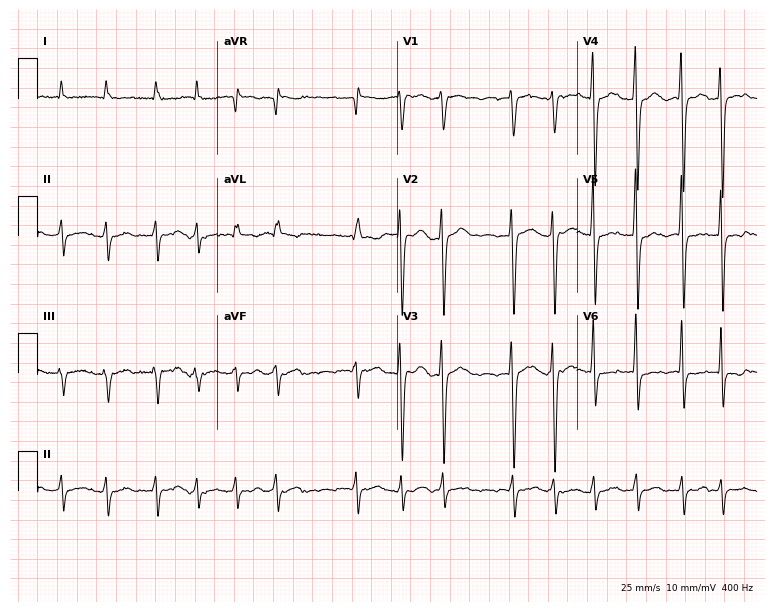
12-lead ECG from a 60-year-old man (7.3-second recording at 400 Hz). Shows atrial fibrillation.